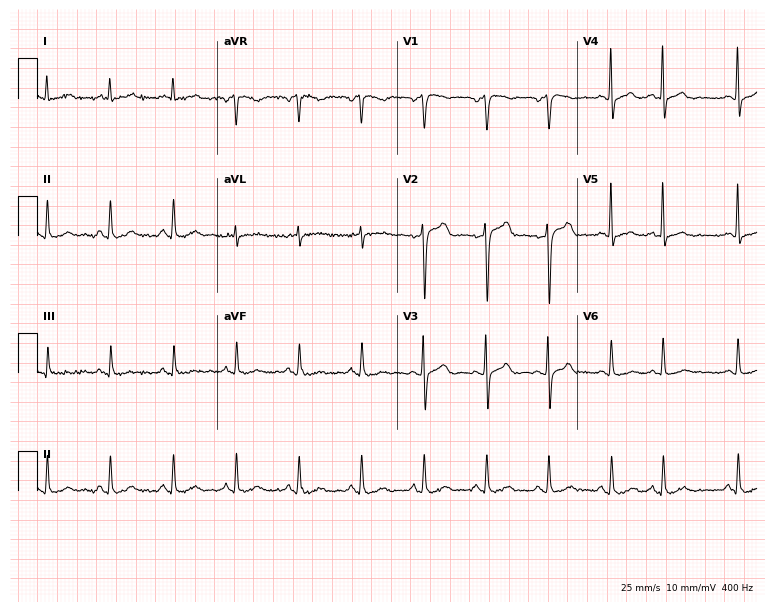
12-lead ECG from a 77-year-old male patient. Screened for six findings — first-degree AV block, right bundle branch block, left bundle branch block, sinus bradycardia, atrial fibrillation, sinus tachycardia — none is recorded. Other findings, if any, are not listed.